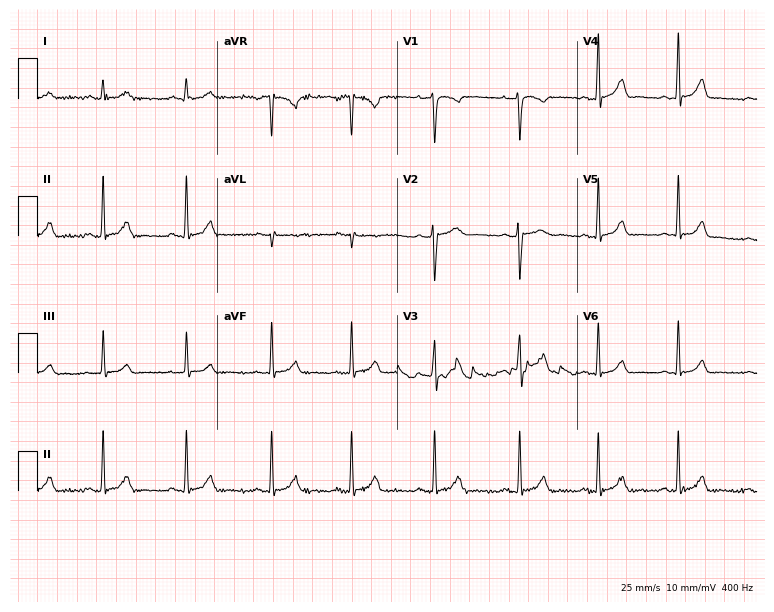
Standard 12-lead ECG recorded from a woman, 34 years old (7.3-second recording at 400 Hz). Read as a normal ECG.